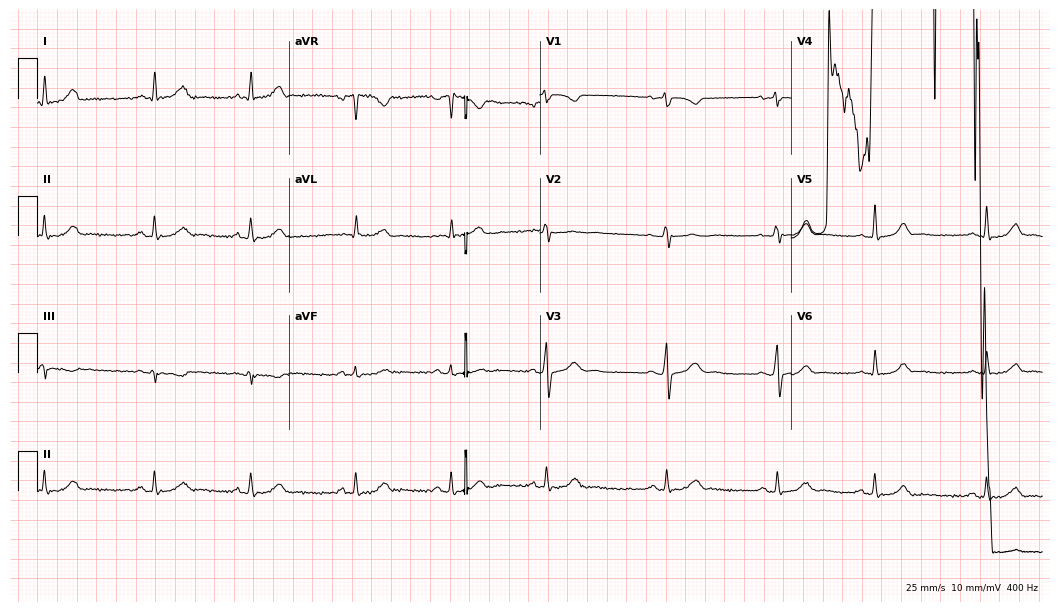
12-lead ECG from a 34-year-old female (10.2-second recording at 400 Hz). Recorded interpretation: within normal limits.